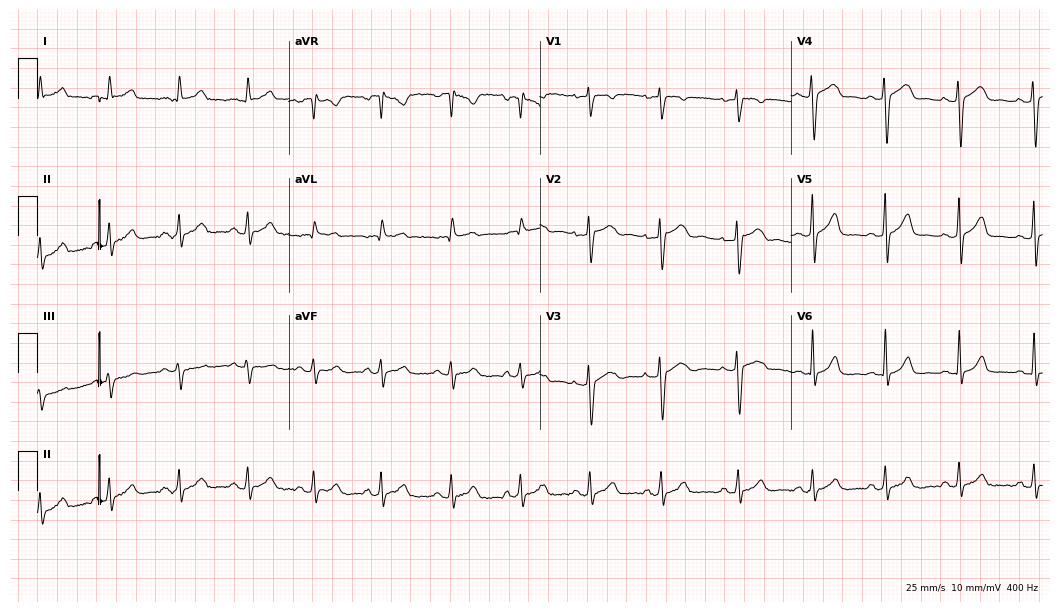
12-lead ECG from a female patient, 25 years old. No first-degree AV block, right bundle branch block, left bundle branch block, sinus bradycardia, atrial fibrillation or sinus tachycardia recorded for this tracing.